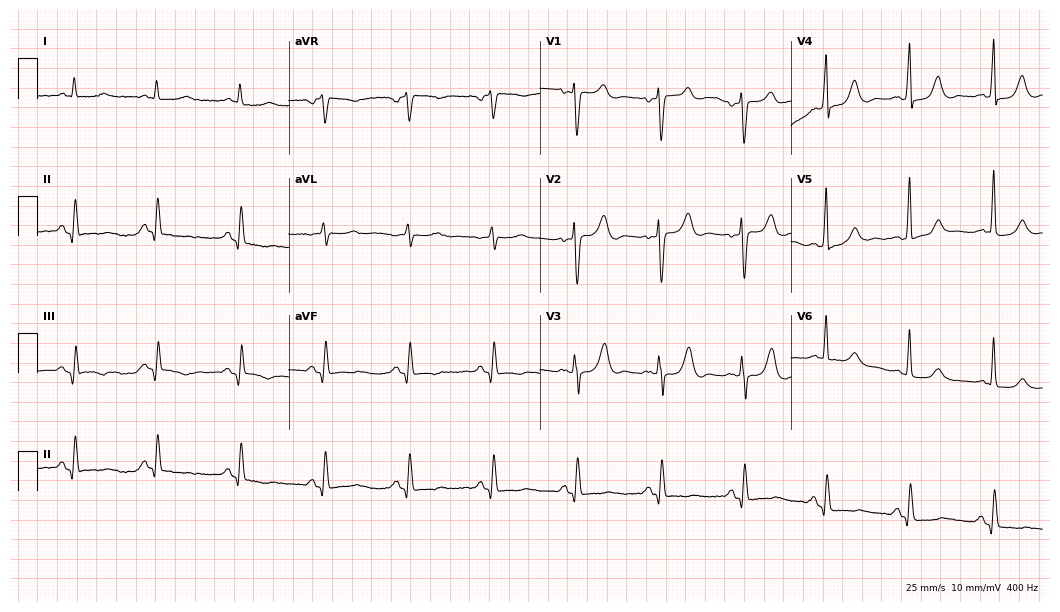
Resting 12-lead electrocardiogram (10.2-second recording at 400 Hz). Patient: an 83-year-old male. Read as a normal ECG.